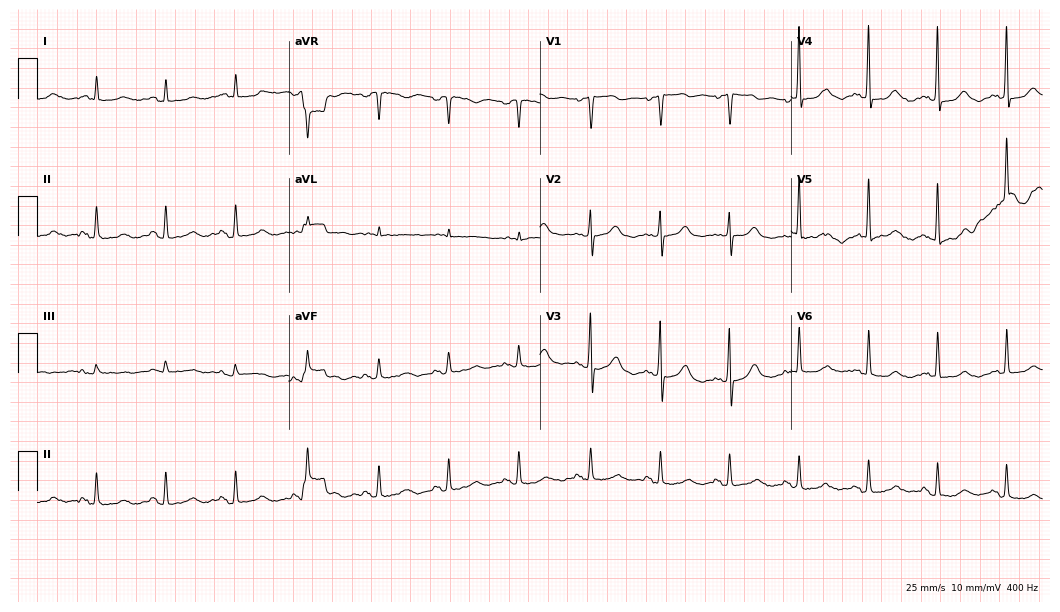
Resting 12-lead electrocardiogram (10.2-second recording at 400 Hz). Patient: a woman, 79 years old. Read as a normal ECG.